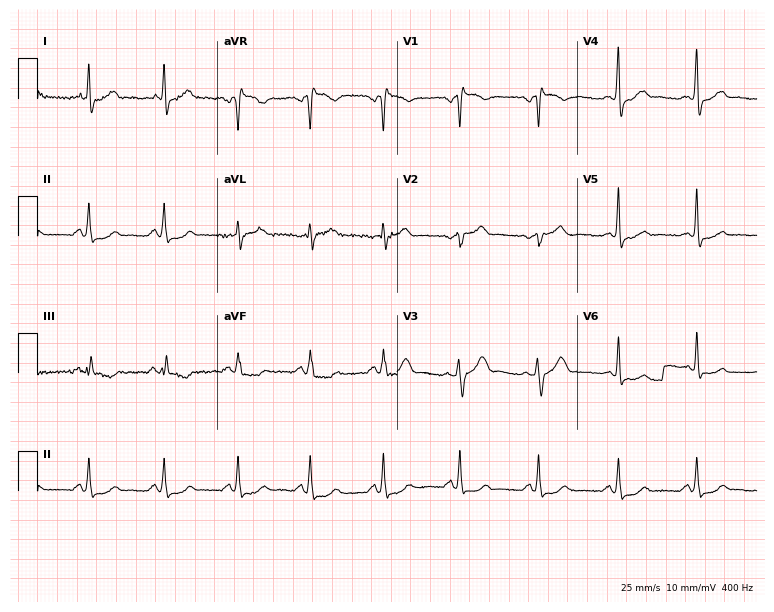
12-lead ECG from a male, 59 years old (7.3-second recording at 400 Hz). No first-degree AV block, right bundle branch block, left bundle branch block, sinus bradycardia, atrial fibrillation or sinus tachycardia recorded for this tracing. Other findings, if any, are not listed.